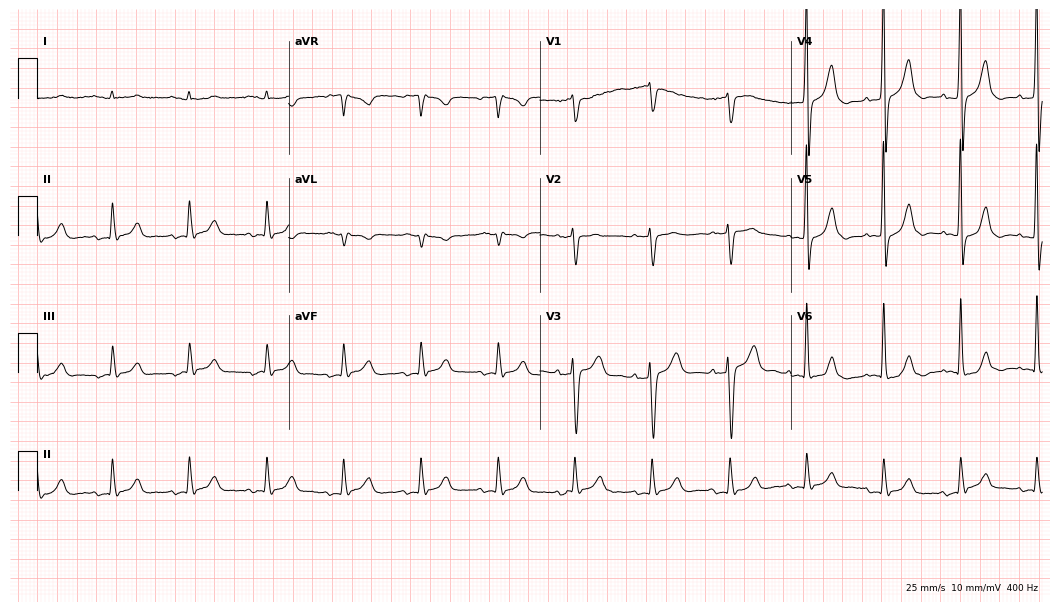
12-lead ECG from a man, 69 years old. Screened for six findings — first-degree AV block, right bundle branch block (RBBB), left bundle branch block (LBBB), sinus bradycardia, atrial fibrillation (AF), sinus tachycardia — none is recorded.